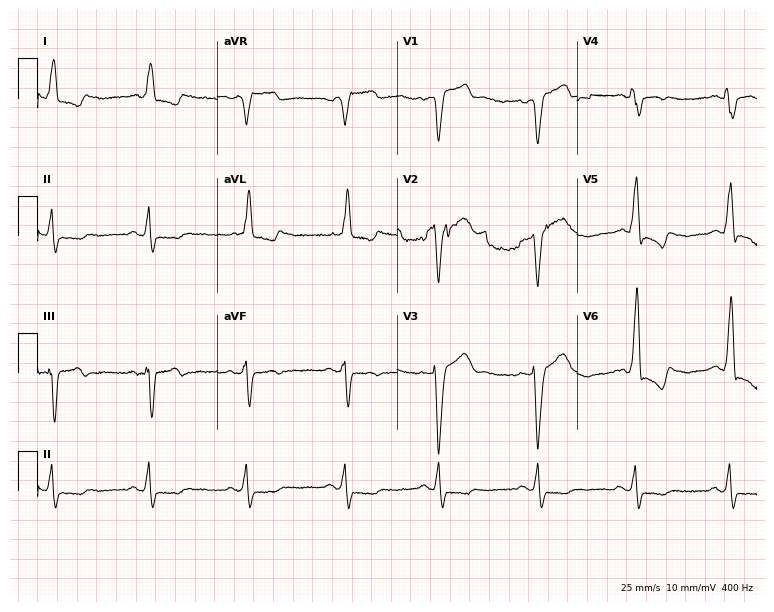
12-lead ECG from an 84-year-old man. Screened for six findings — first-degree AV block, right bundle branch block, left bundle branch block, sinus bradycardia, atrial fibrillation, sinus tachycardia — none is recorded.